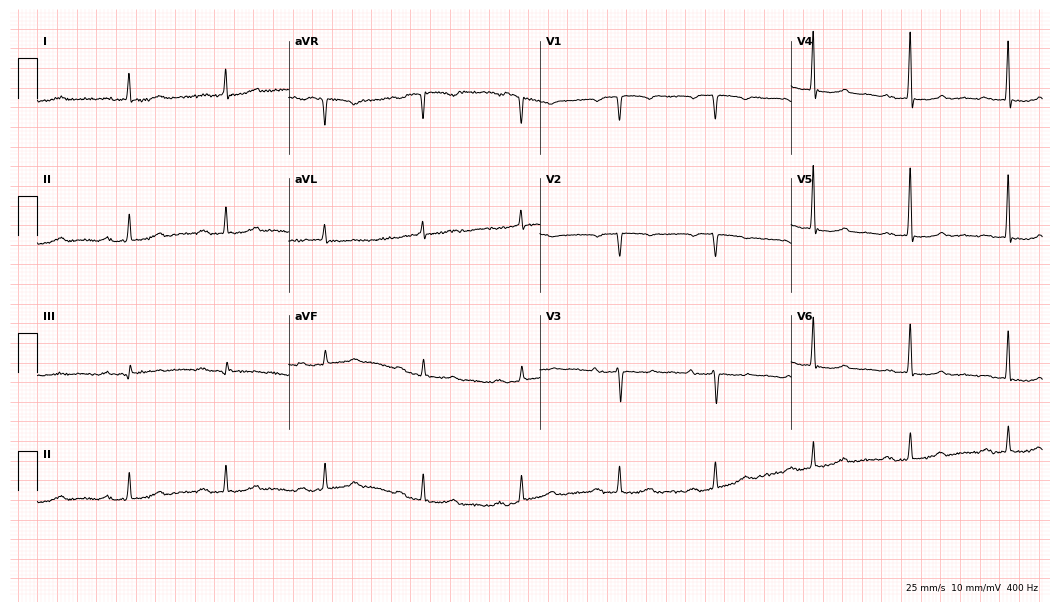
ECG (10.2-second recording at 400 Hz) — a female patient, 75 years old. Screened for six findings — first-degree AV block, right bundle branch block, left bundle branch block, sinus bradycardia, atrial fibrillation, sinus tachycardia — none is recorded. Findings outside these six are not listed.